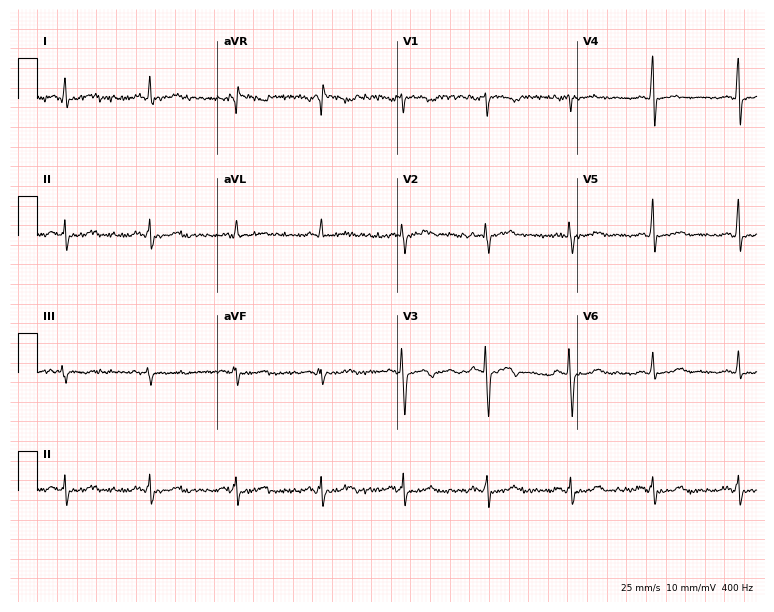
Standard 12-lead ECG recorded from a 61-year-old female (7.3-second recording at 400 Hz). None of these six findings is recorded: first-degree AV block, right bundle branch block, left bundle branch block, sinus bradycardia, atrial fibrillation, sinus tachycardia. Other findings, if any, are not listed.